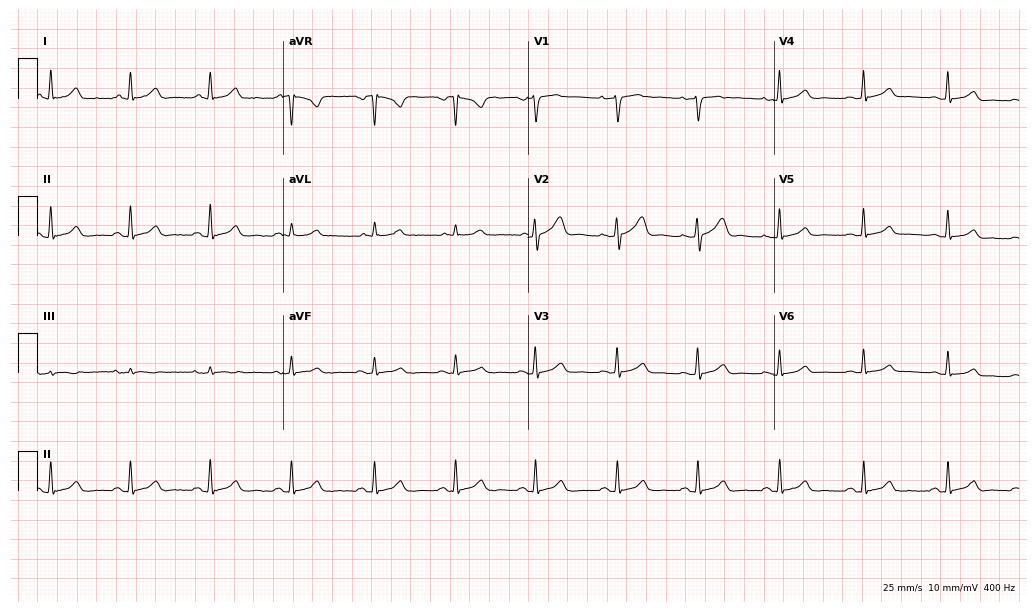
12-lead ECG (10-second recording at 400 Hz) from a female, 46 years old. Screened for six findings — first-degree AV block, right bundle branch block, left bundle branch block, sinus bradycardia, atrial fibrillation, sinus tachycardia — none is recorded. Findings outside these six are not listed.